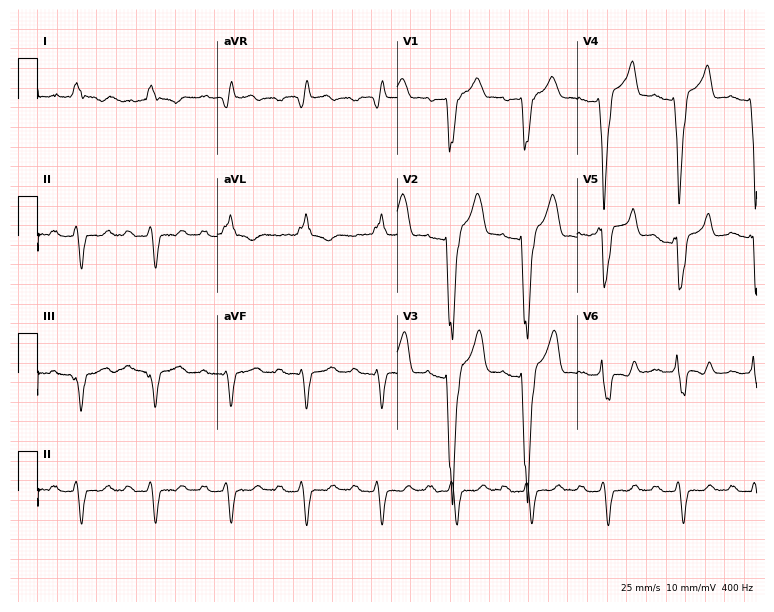
ECG (7.3-second recording at 400 Hz) — a 66-year-old male patient. Findings include first-degree AV block, left bundle branch block.